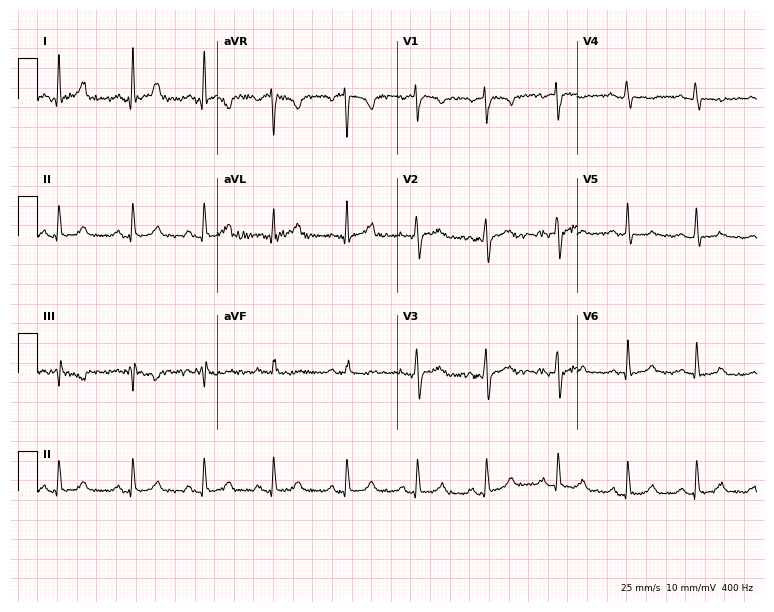
12-lead ECG (7.3-second recording at 400 Hz) from a female, 23 years old. Labelled as a normal ECG.